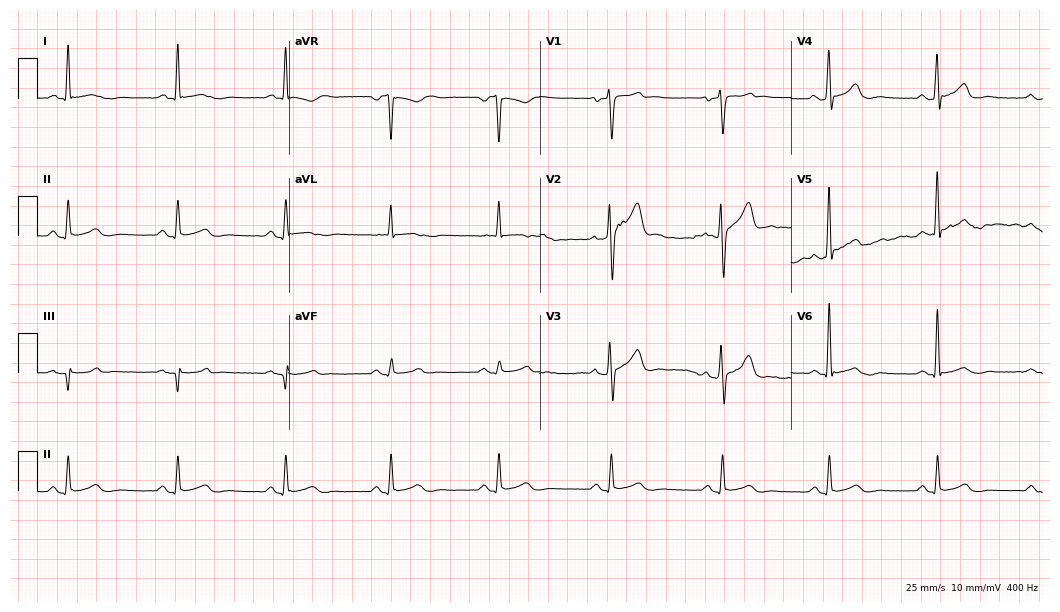
Electrocardiogram, a male, 61 years old. Overall reading on record: normal ECG.